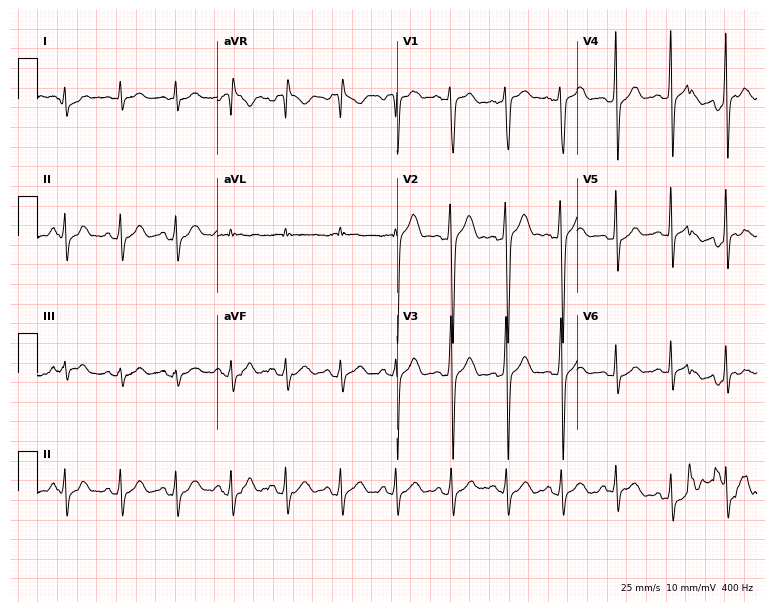
Resting 12-lead electrocardiogram. Patient: a 17-year-old male. The tracing shows sinus tachycardia (a sinus rate of 100 beats per minute or more).